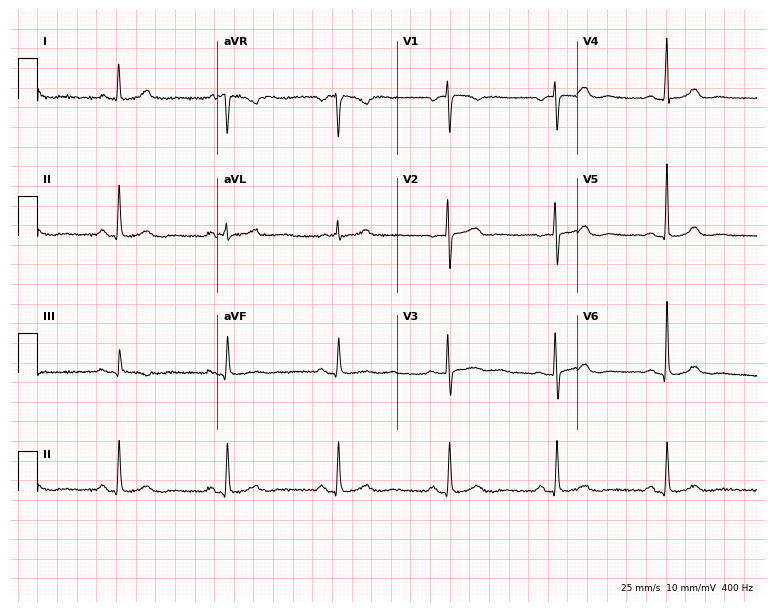
12-lead ECG from a 51-year-old female patient (7.3-second recording at 400 Hz). Recorded interpretation: within normal limits.